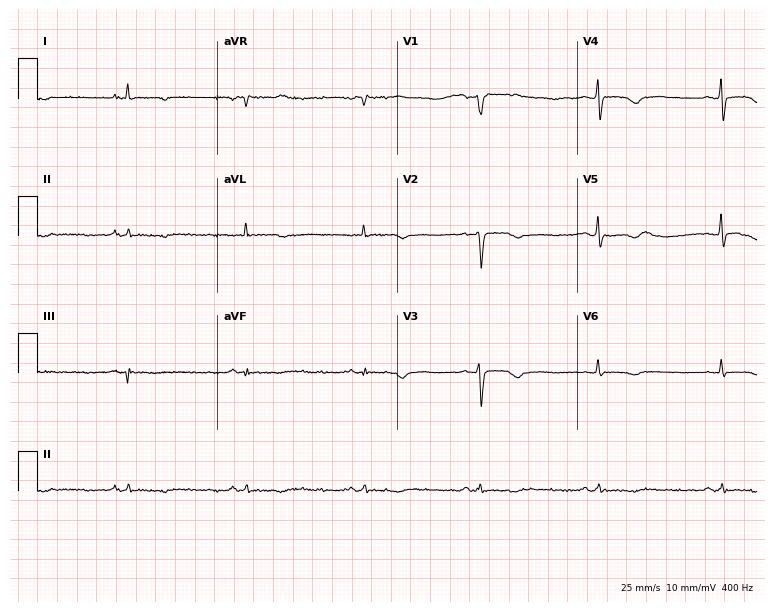
12-lead ECG from a female, 66 years old. Screened for six findings — first-degree AV block, right bundle branch block (RBBB), left bundle branch block (LBBB), sinus bradycardia, atrial fibrillation (AF), sinus tachycardia — none is recorded.